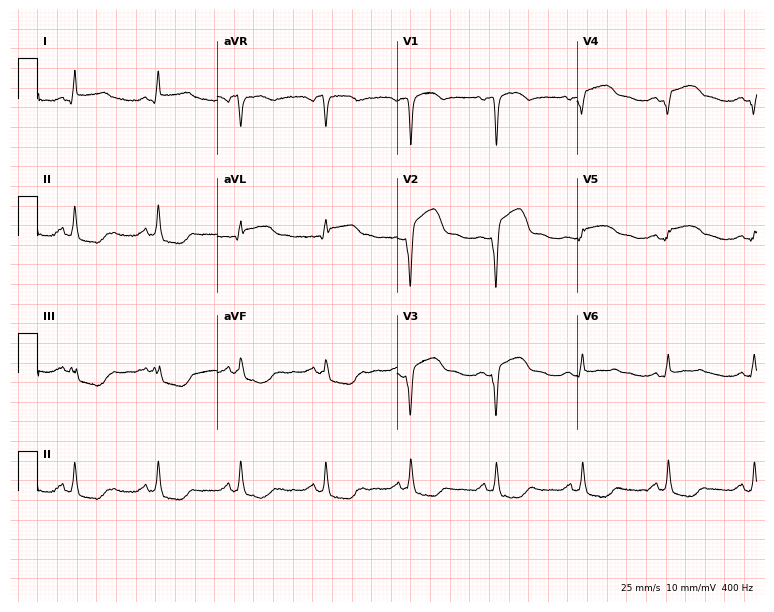
12-lead ECG from a 63-year-old female. No first-degree AV block, right bundle branch block (RBBB), left bundle branch block (LBBB), sinus bradycardia, atrial fibrillation (AF) or sinus tachycardia recorded for this tracing.